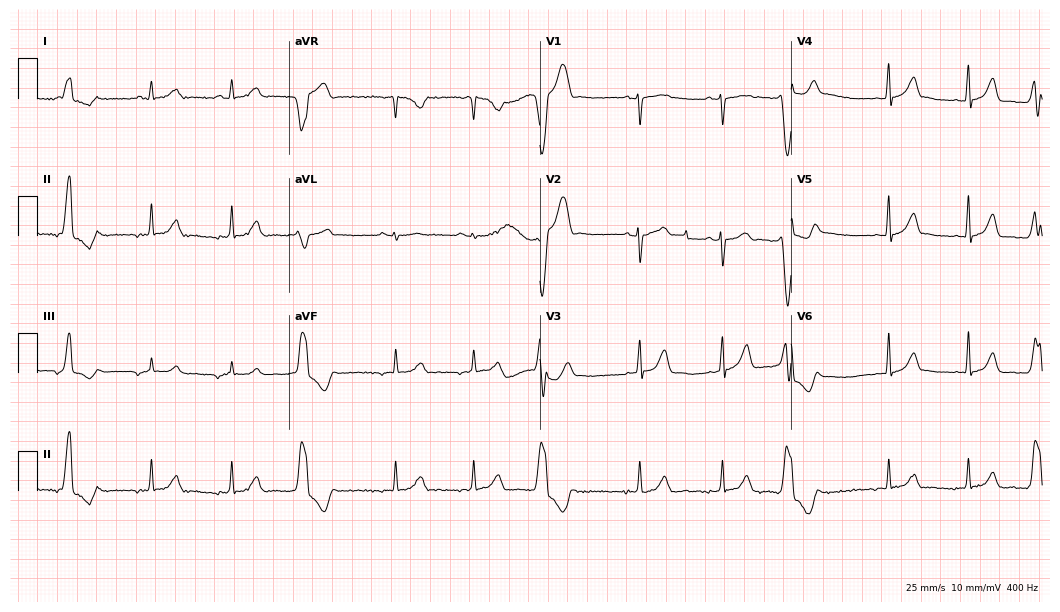
ECG — a 31-year-old female. Screened for six findings — first-degree AV block, right bundle branch block, left bundle branch block, sinus bradycardia, atrial fibrillation, sinus tachycardia — none is recorded. Other findings, if any, are not listed.